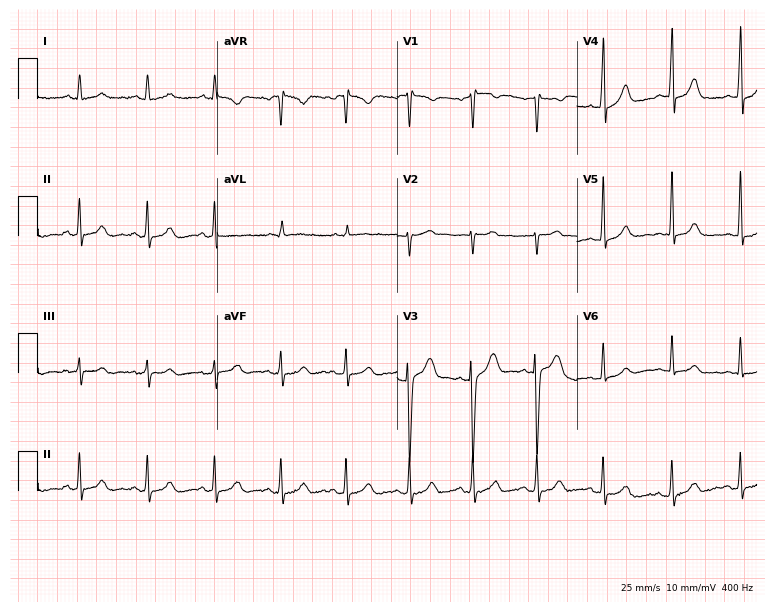
ECG (7.3-second recording at 400 Hz) — a female, 42 years old. Labelled as a normal ECG.